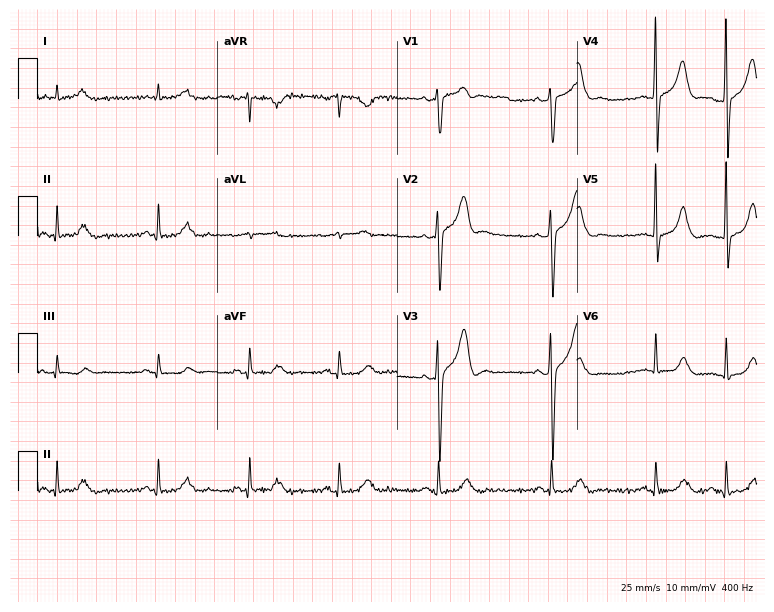
Standard 12-lead ECG recorded from a male, 83 years old (7.3-second recording at 400 Hz). None of these six findings is recorded: first-degree AV block, right bundle branch block (RBBB), left bundle branch block (LBBB), sinus bradycardia, atrial fibrillation (AF), sinus tachycardia. Findings outside these six are not listed.